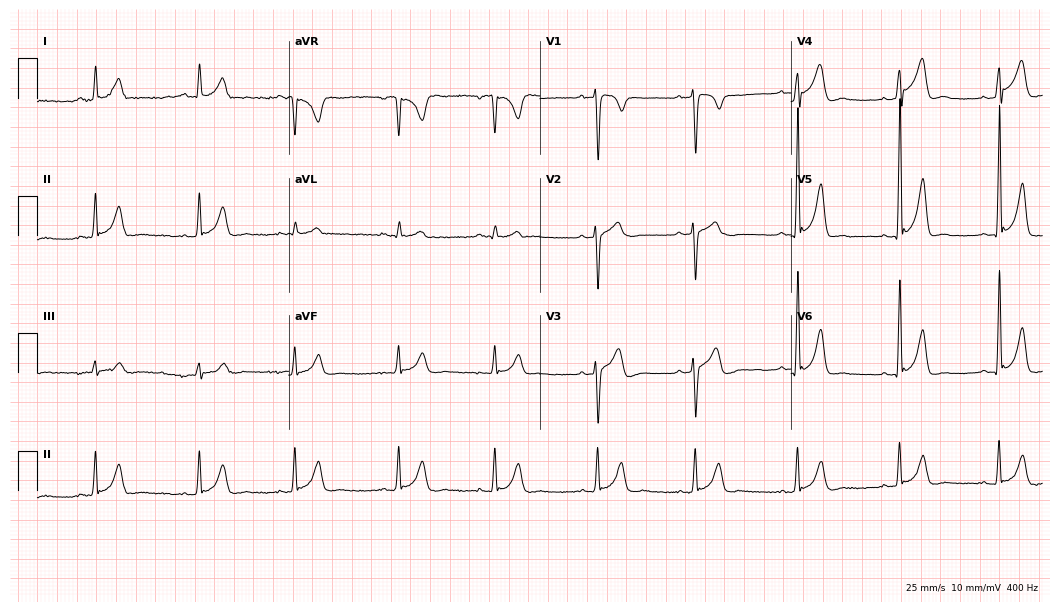
12-lead ECG from a 20-year-old male (10.2-second recording at 400 Hz). Recorded interpretation: within normal limits.